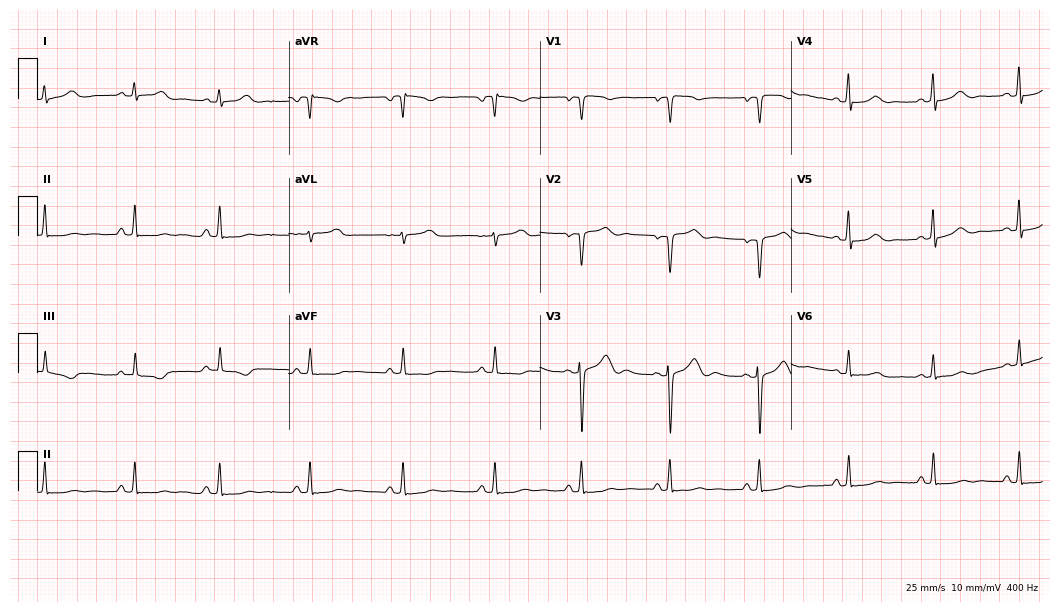
Standard 12-lead ECG recorded from a woman, 27 years old. Read as a normal ECG.